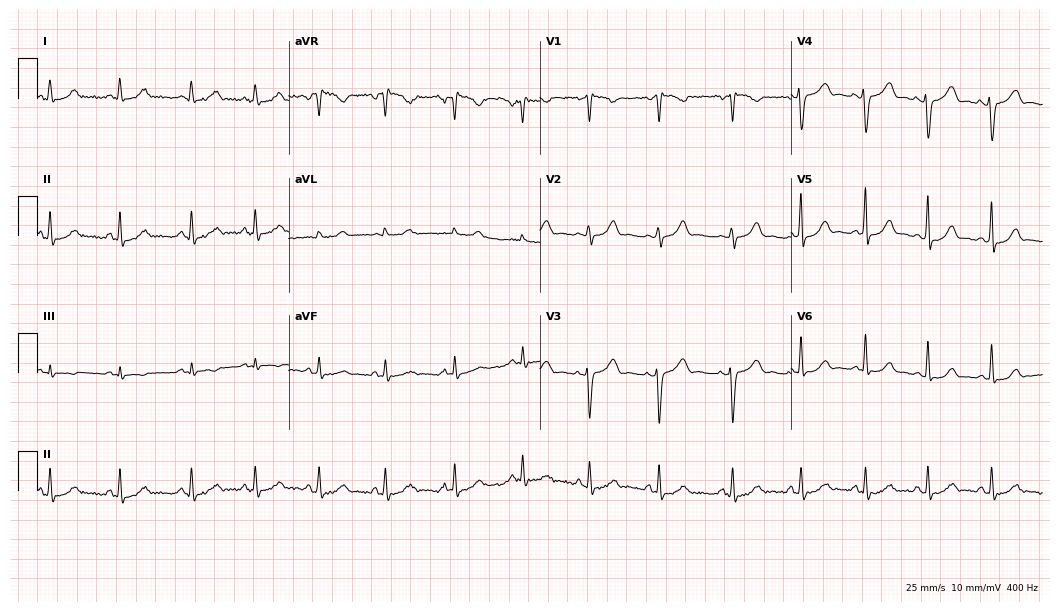
Resting 12-lead electrocardiogram. Patient: a 34-year-old female. Read as a normal ECG.